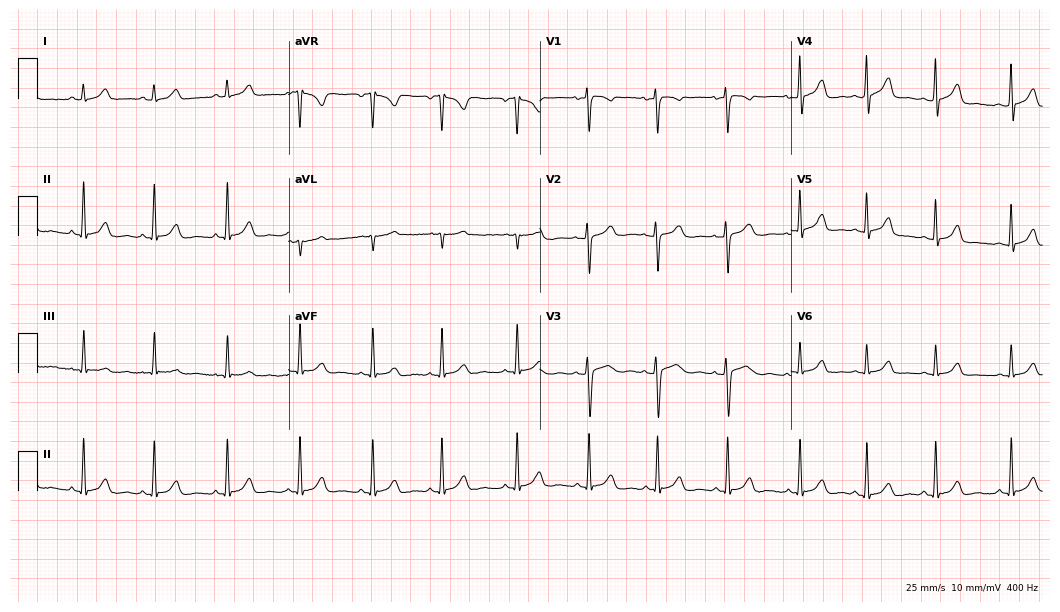
ECG (10.2-second recording at 400 Hz) — a female, 18 years old. Labelled as a normal ECG.